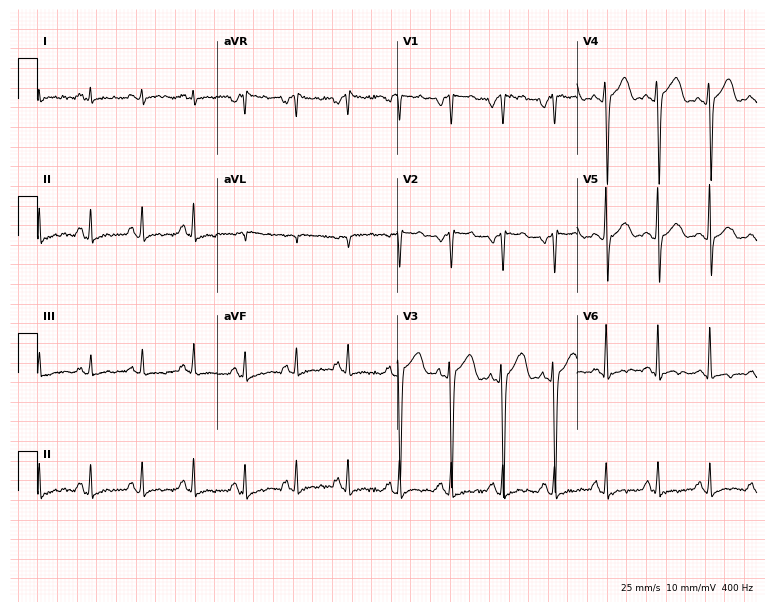
12-lead ECG from a 43-year-old male patient. Findings include sinus tachycardia (a sinus rate of 100 beats per minute or more).